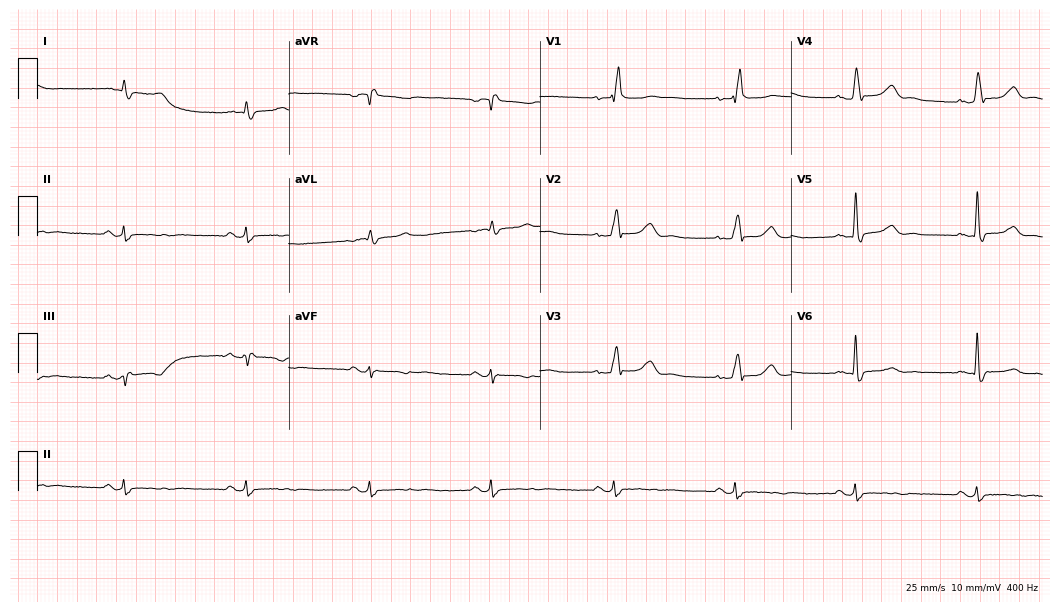
12-lead ECG from a 65-year-old male. Screened for six findings — first-degree AV block, right bundle branch block, left bundle branch block, sinus bradycardia, atrial fibrillation, sinus tachycardia — none is recorded.